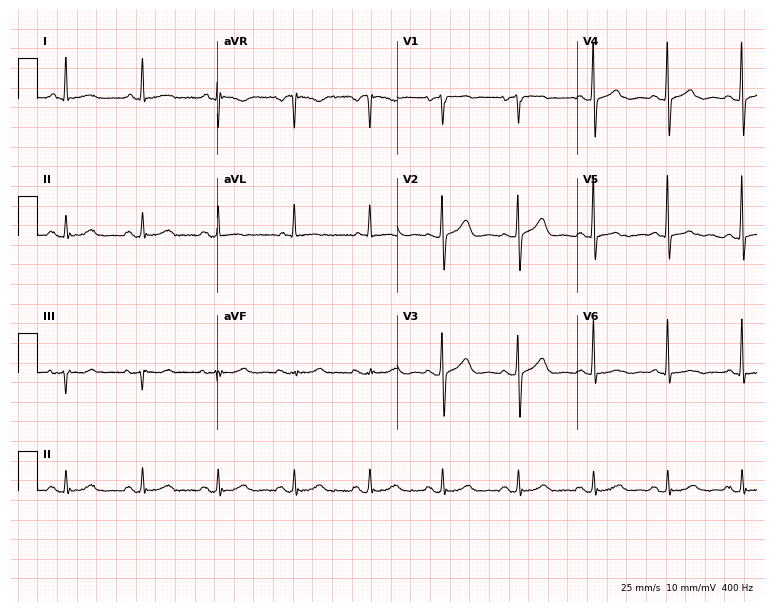
12-lead ECG from a woman, 79 years old. Screened for six findings — first-degree AV block, right bundle branch block (RBBB), left bundle branch block (LBBB), sinus bradycardia, atrial fibrillation (AF), sinus tachycardia — none is recorded.